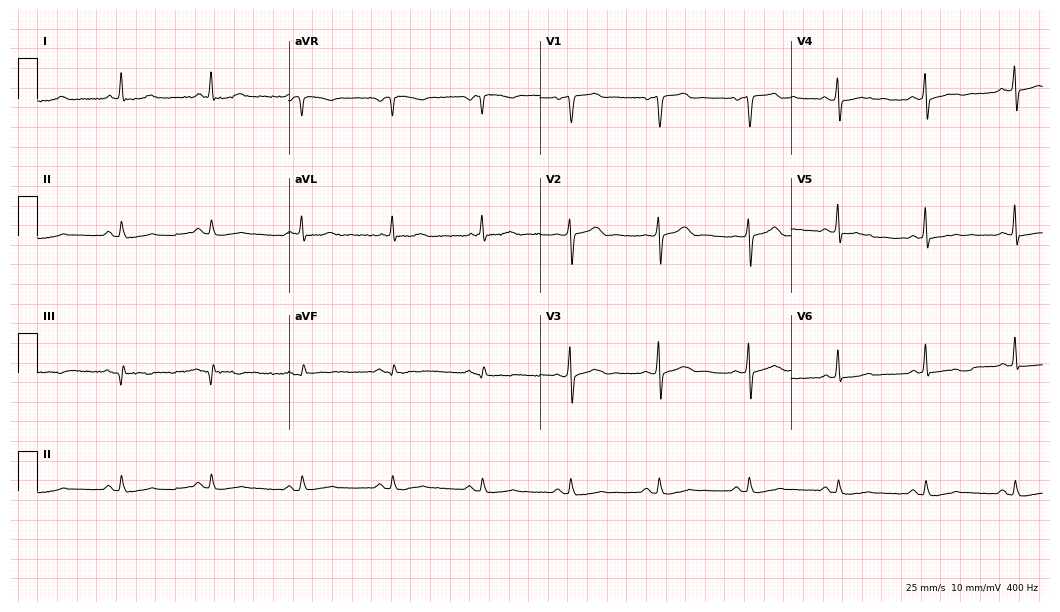
Electrocardiogram, a 56-year-old male patient. Of the six screened findings (first-degree AV block, right bundle branch block (RBBB), left bundle branch block (LBBB), sinus bradycardia, atrial fibrillation (AF), sinus tachycardia), none is recorded. Only these six findings were labelled.